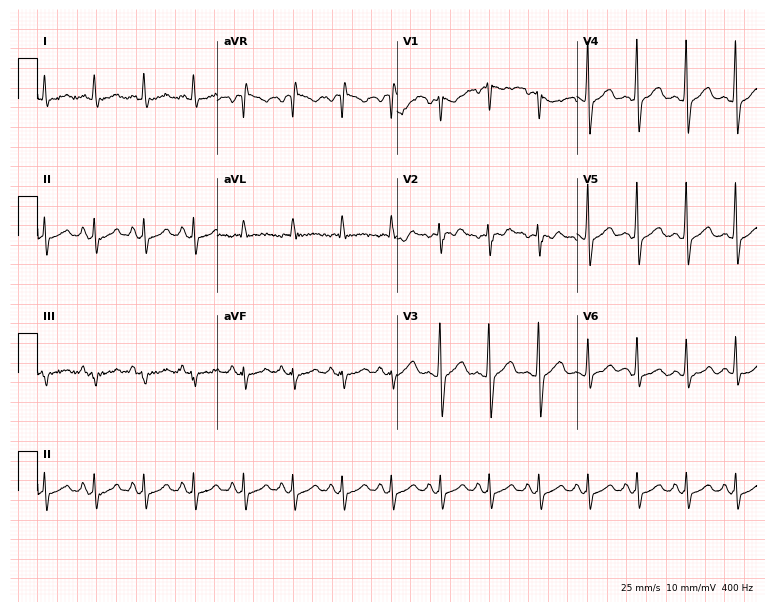
Resting 12-lead electrocardiogram. Patient: a 49-year-old male. The tracing shows sinus tachycardia (a sinus rate of 100 beats per minute or more).